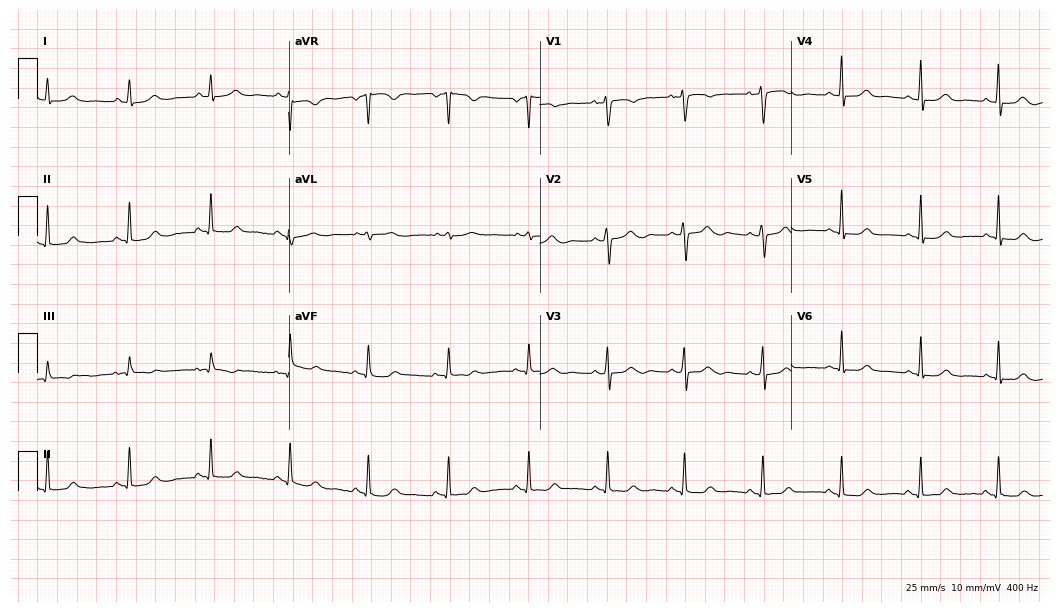
ECG — a female, 43 years old. Labelled as a normal ECG.